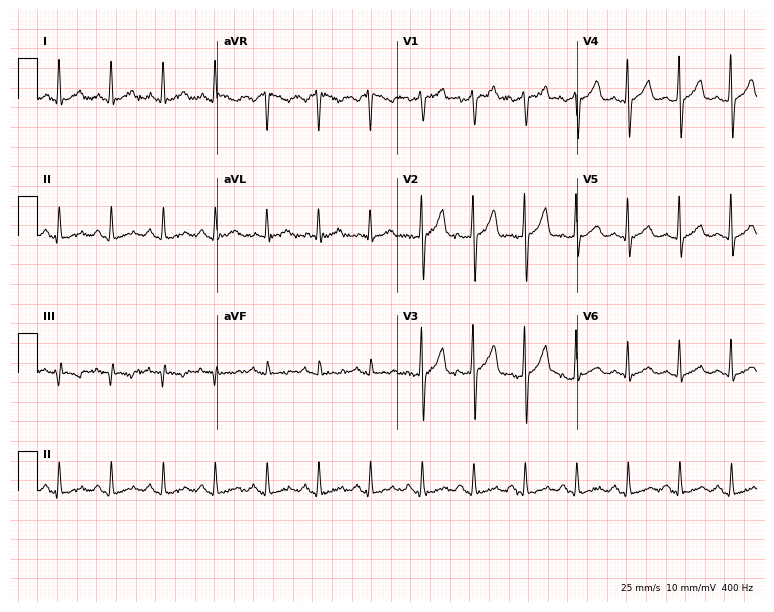
Resting 12-lead electrocardiogram. Patient: an 84-year-old male. The tracing shows sinus tachycardia (a sinus rate of 100 beats per minute or more).